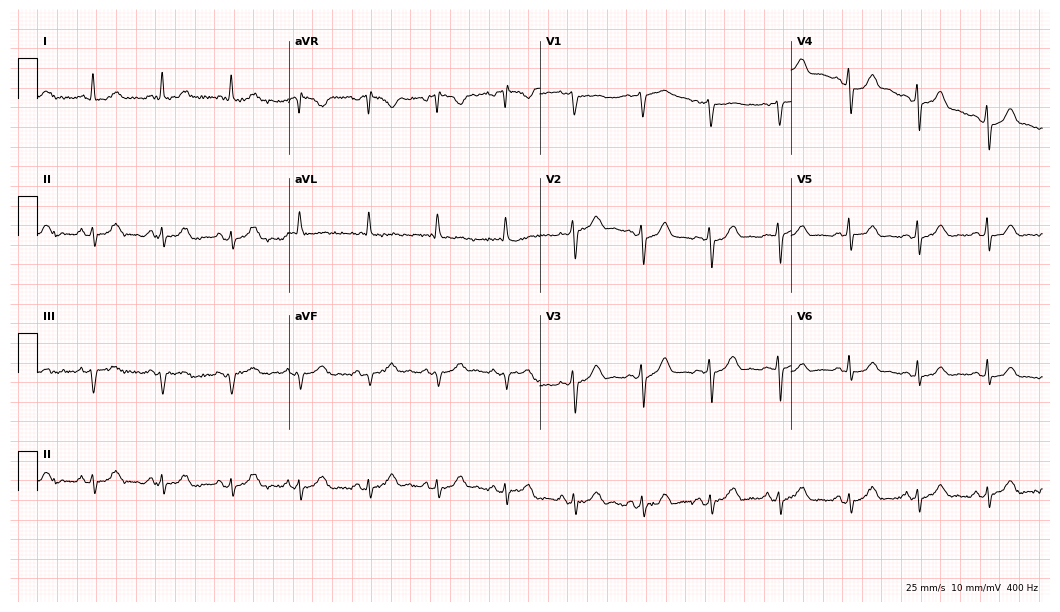
Resting 12-lead electrocardiogram (10.2-second recording at 400 Hz). Patient: a woman, 66 years old. None of these six findings is recorded: first-degree AV block, right bundle branch block, left bundle branch block, sinus bradycardia, atrial fibrillation, sinus tachycardia. Findings outside these six are not listed.